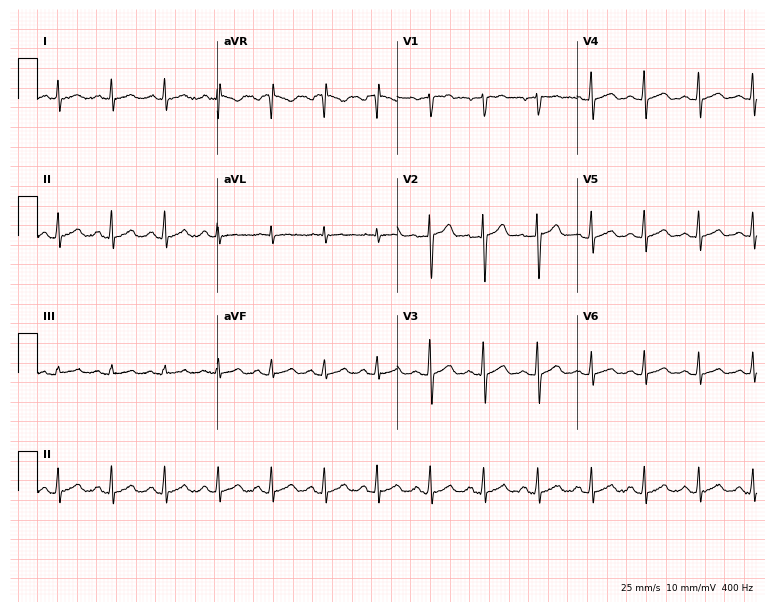
ECG (7.3-second recording at 400 Hz) — a man, 31 years old. Findings include sinus tachycardia (a sinus rate of 100 beats per minute or more).